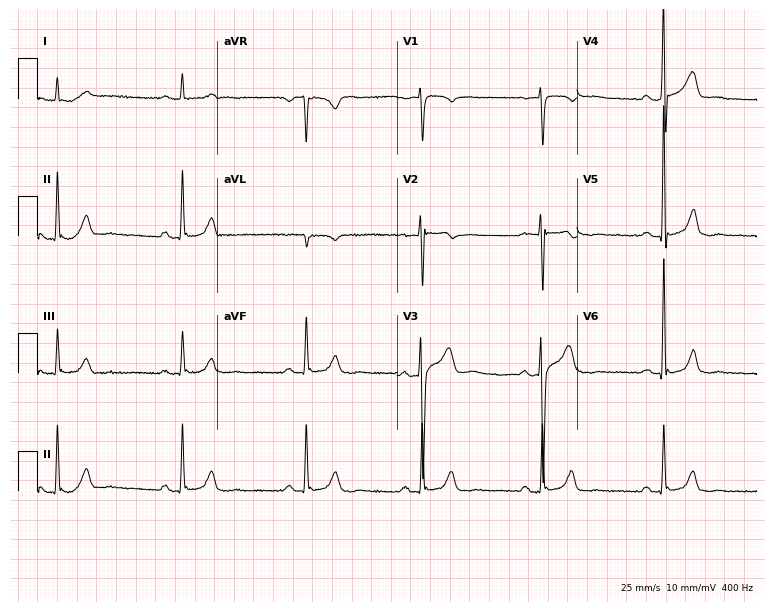
12-lead ECG from a 57-year-old male patient. No first-degree AV block, right bundle branch block (RBBB), left bundle branch block (LBBB), sinus bradycardia, atrial fibrillation (AF) or sinus tachycardia recorded for this tracing.